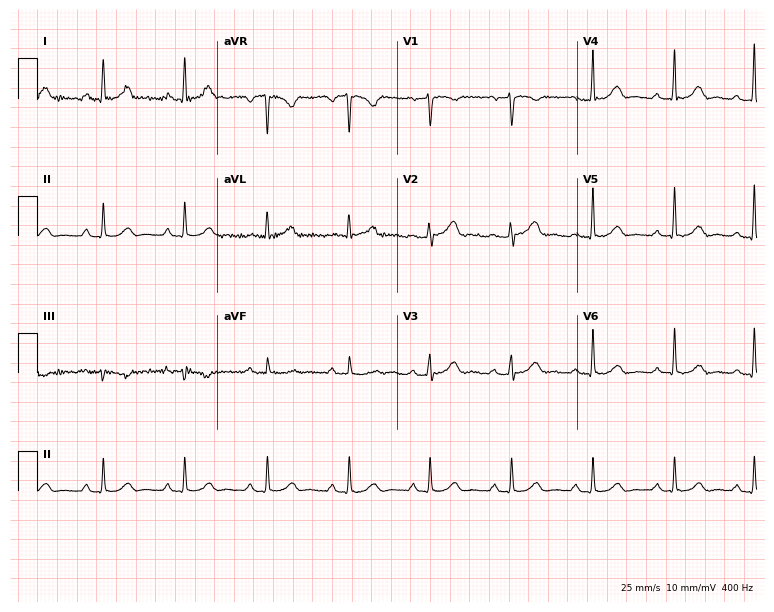
12-lead ECG (7.3-second recording at 400 Hz) from a female patient, 52 years old. Labelled as a normal ECG.